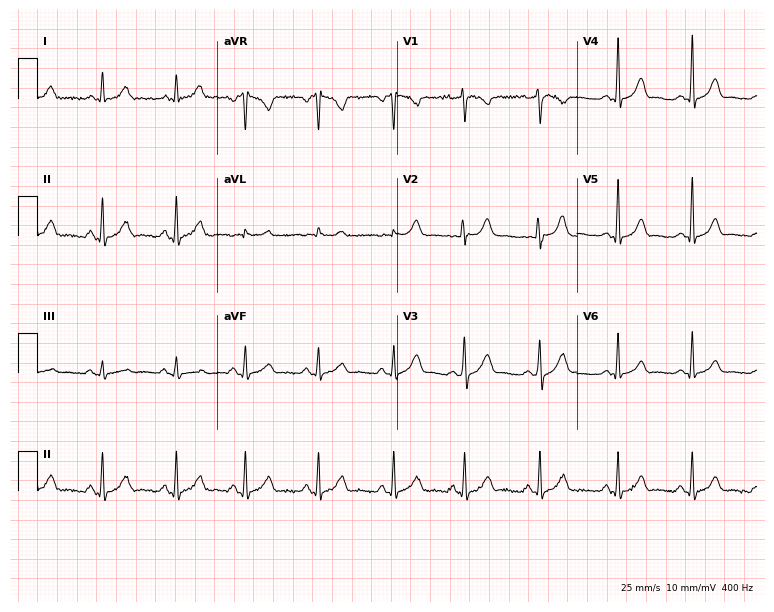
Electrocardiogram (7.3-second recording at 400 Hz), a 35-year-old female. Overall reading on record: normal ECG.